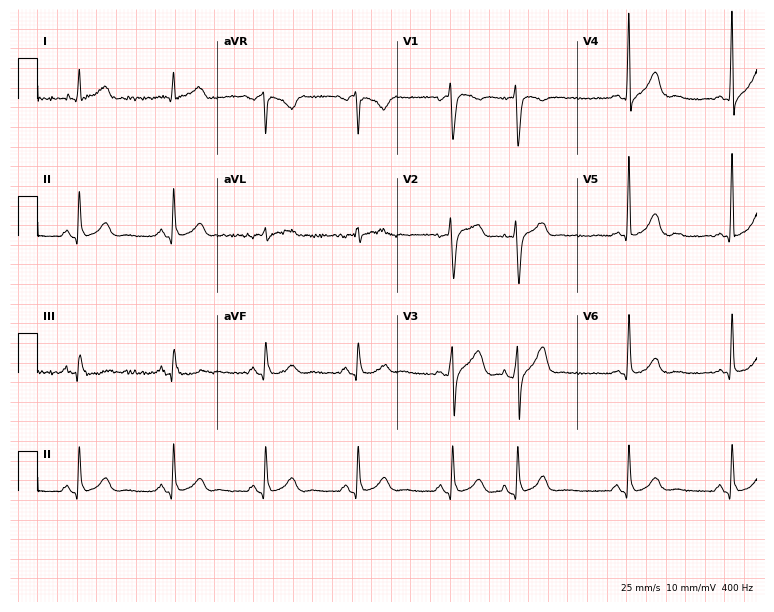
Standard 12-lead ECG recorded from a 55-year-old man (7.3-second recording at 400 Hz). None of these six findings is recorded: first-degree AV block, right bundle branch block, left bundle branch block, sinus bradycardia, atrial fibrillation, sinus tachycardia. Only these six findings were labelled.